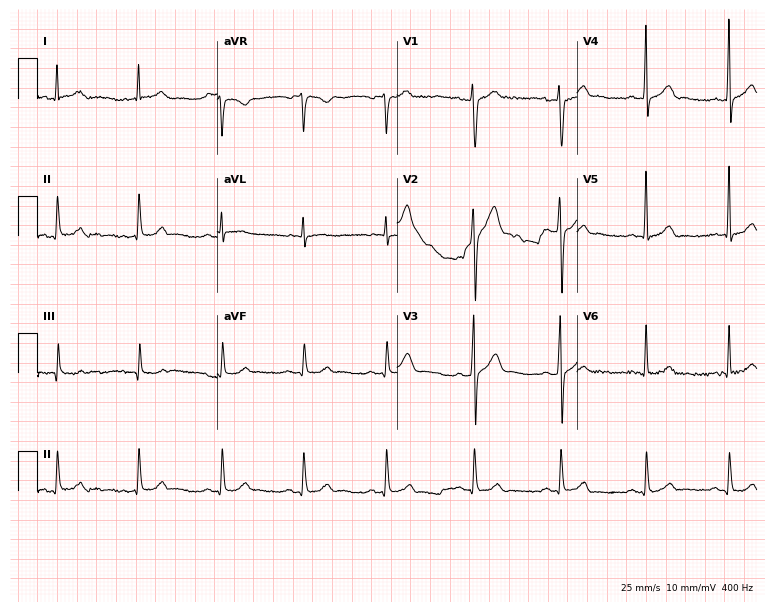
Standard 12-lead ECG recorded from a 28-year-old male patient (7.3-second recording at 400 Hz). None of these six findings is recorded: first-degree AV block, right bundle branch block (RBBB), left bundle branch block (LBBB), sinus bradycardia, atrial fibrillation (AF), sinus tachycardia.